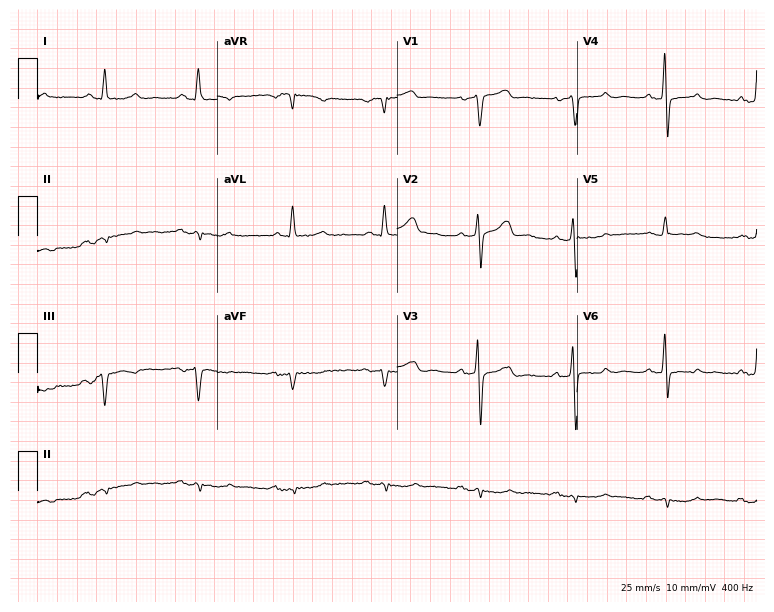
Standard 12-lead ECG recorded from a 51-year-old man. None of these six findings is recorded: first-degree AV block, right bundle branch block, left bundle branch block, sinus bradycardia, atrial fibrillation, sinus tachycardia. Other findings, if any, are not listed.